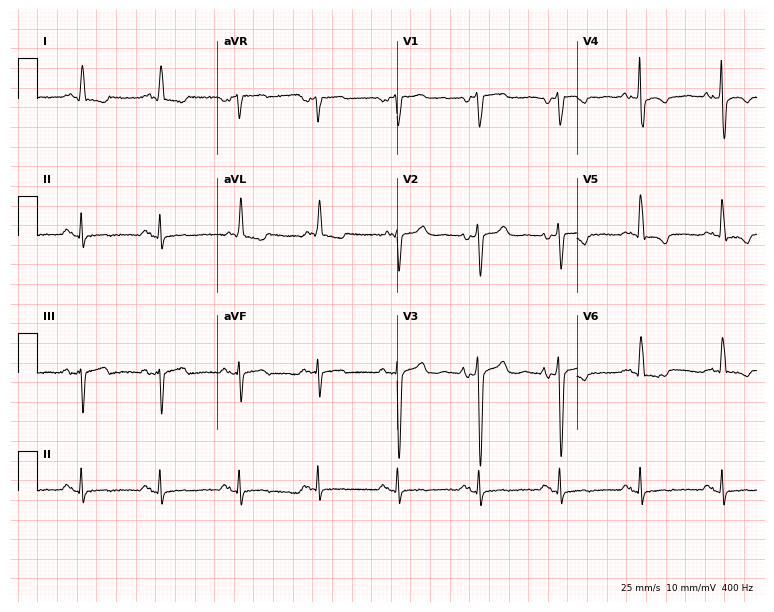
ECG — a man, 64 years old. Screened for six findings — first-degree AV block, right bundle branch block, left bundle branch block, sinus bradycardia, atrial fibrillation, sinus tachycardia — none is recorded.